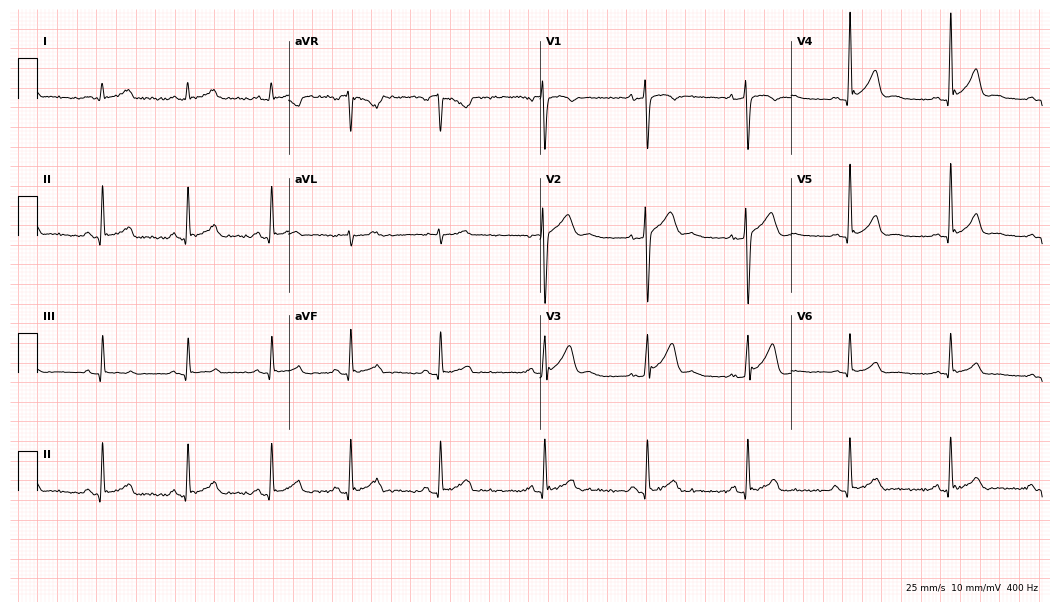
Resting 12-lead electrocardiogram (10.2-second recording at 400 Hz). Patient: a 33-year-old male. Read as a normal ECG.